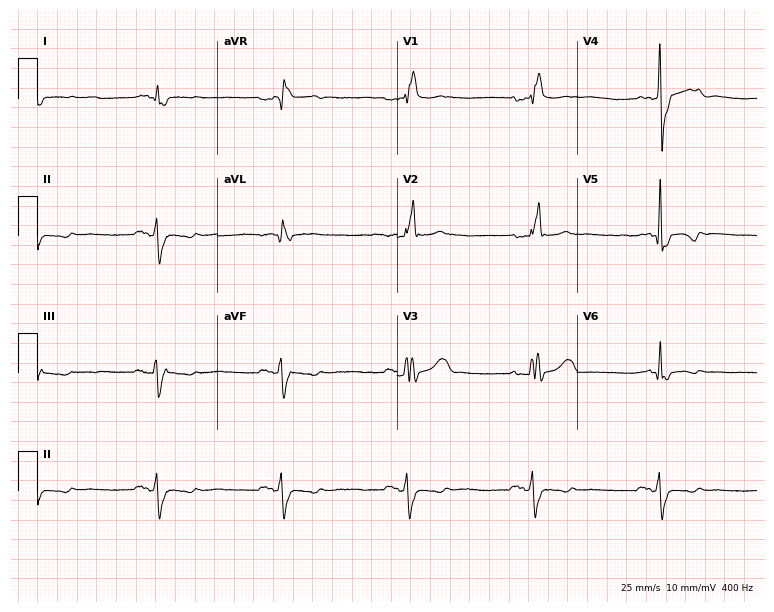
12-lead ECG from a 72-year-old male. Findings include right bundle branch block, sinus bradycardia (a sinus rate of 50 beats per minute or less).